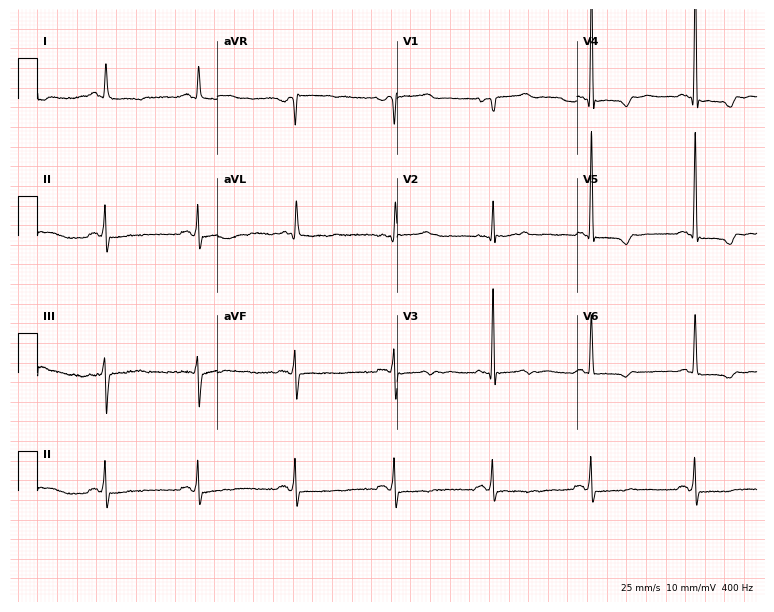
Resting 12-lead electrocardiogram. Patient: a woman, 79 years old. Read as a normal ECG.